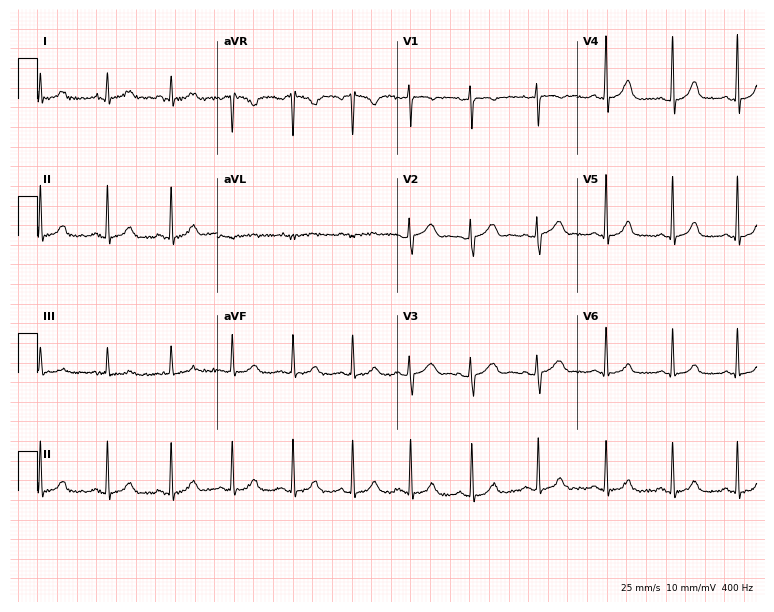
12-lead ECG from a female, 34 years old. Recorded interpretation: within normal limits.